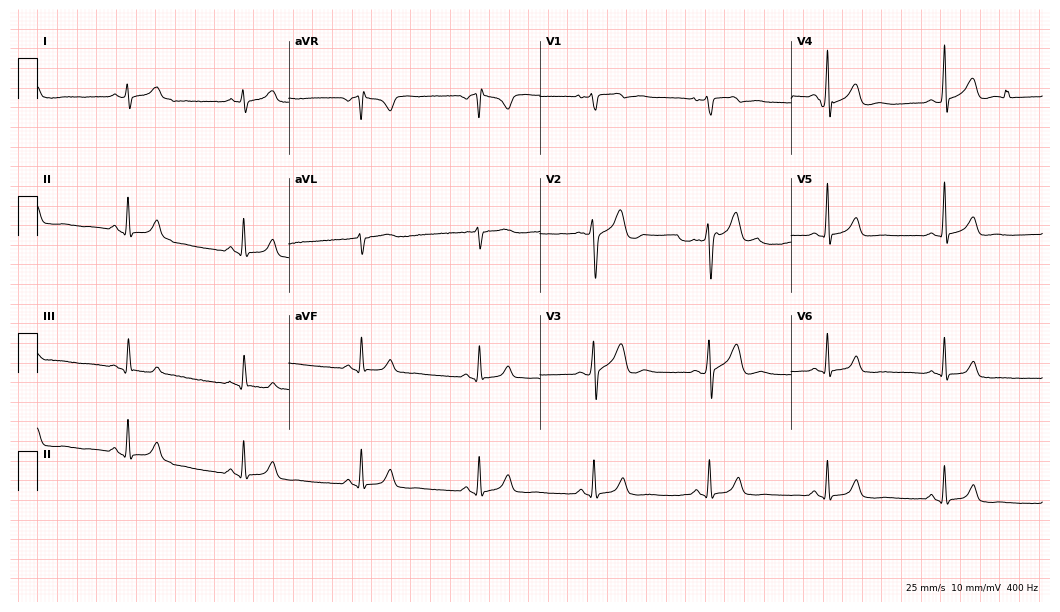
12-lead ECG from a 49-year-old man. No first-degree AV block, right bundle branch block, left bundle branch block, sinus bradycardia, atrial fibrillation or sinus tachycardia recorded for this tracing. Only these six findings were labelled.